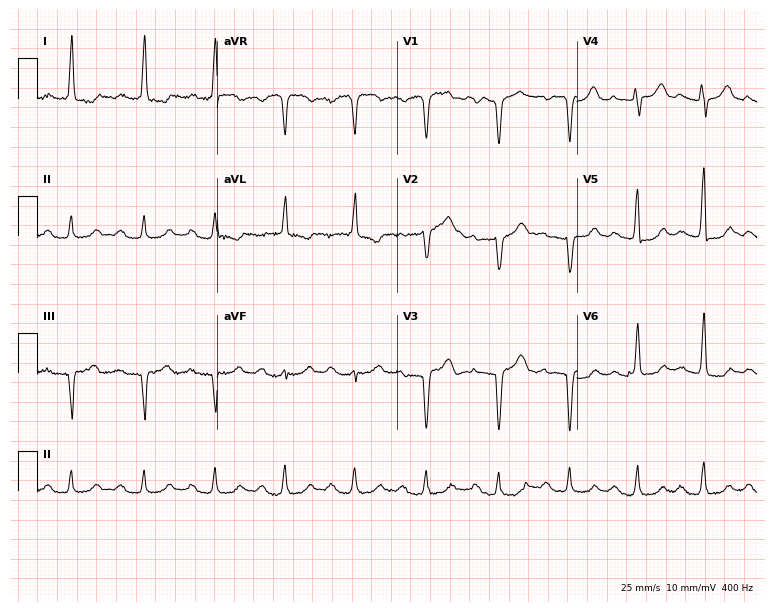
Electrocardiogram (7.3-second recording at 400 Hz), a female, 70 years old. Interpretation includes first-degree AV block.